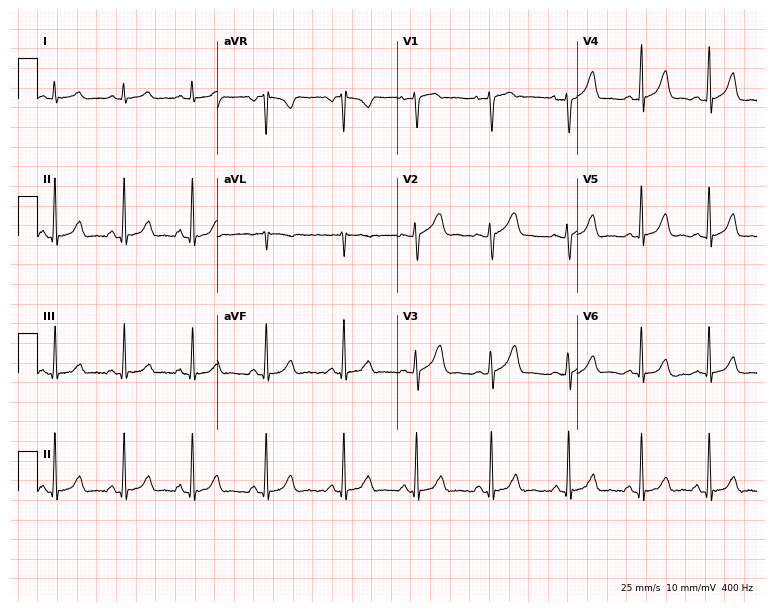
Standard 12-lead ECG recorded from an 18-year-old female (7.3-second recording at 400 Hz). None of these six findings is recorded: first-degree AV block, right bundle branch block, left bundle branch block, sinus bradycardia, atrial fibrillation, sinus tachycardia.